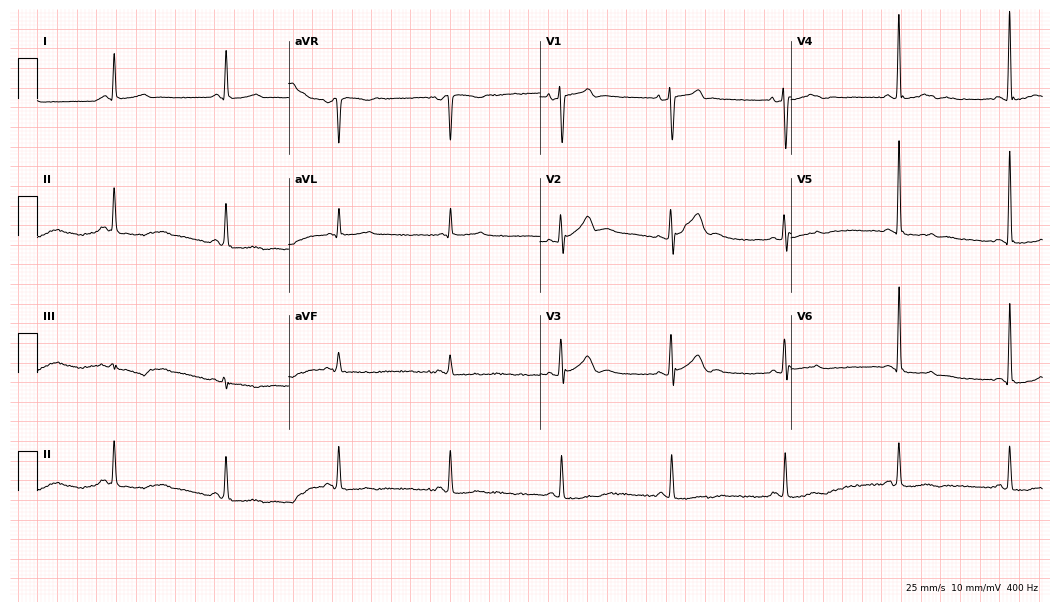
Electrocardiogram (10.2-second recording at 400 Hz), a 51-year-old man. Of the six screened findings (first-degree AV block, right bundle branch block (RBBB), left bundle branch block (LBBB), sinus bradycardia, atrial fibrillation (AF), sinus tachycardia), none is recorded. Findings outside these six are not listed.